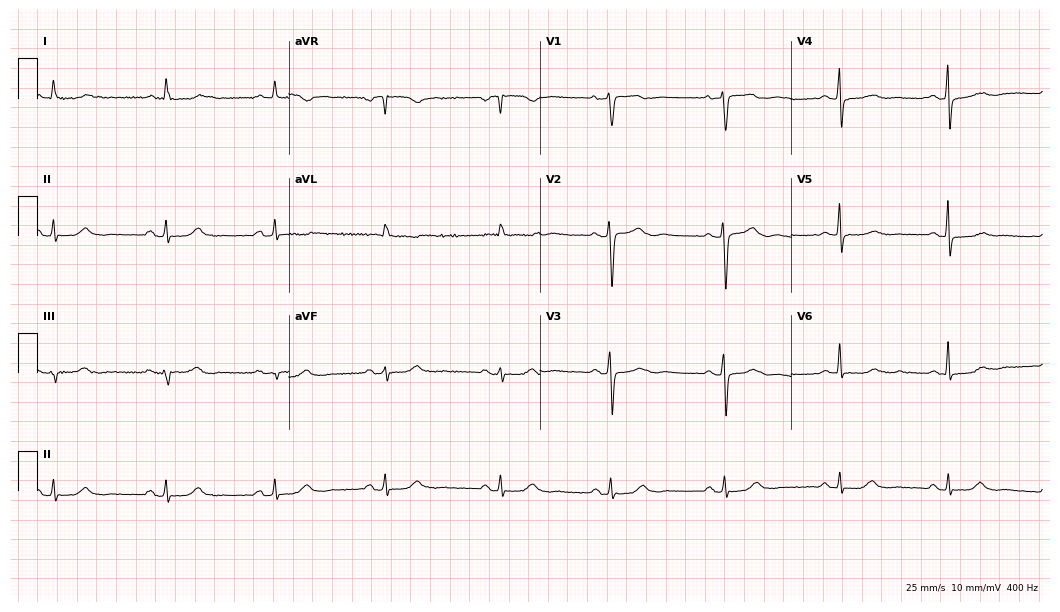
Electrocardiogram, a 45-year-old woman. Overall reading on record: normal ECG.